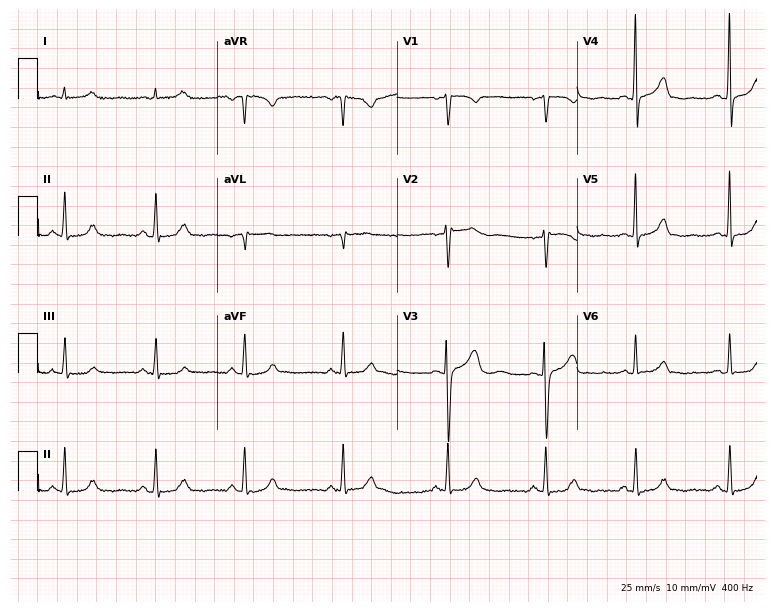
ECG (7.3-second recording at 400 Hz) — a 40-year-old female patient. Labelled as a normal ECG.